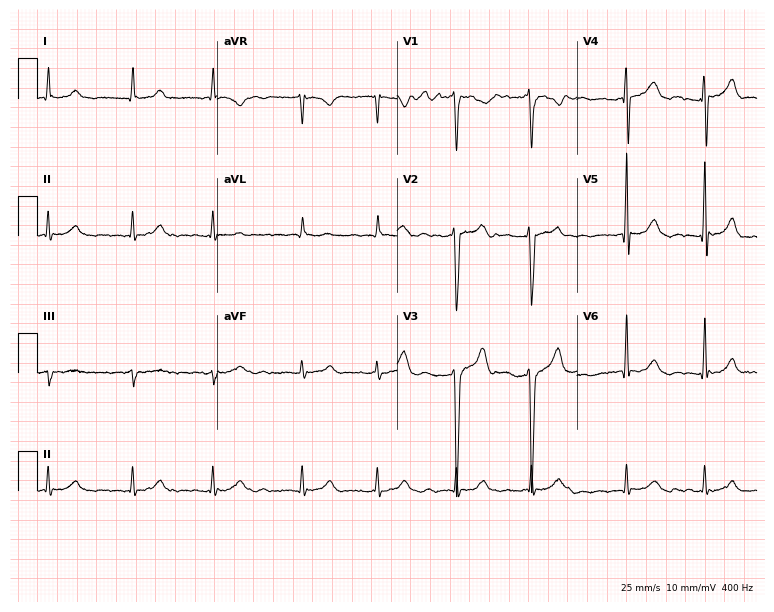
Standard 12-lead ECG recorded from an 84-year-old man. The tracing shows atrial fibrillation.